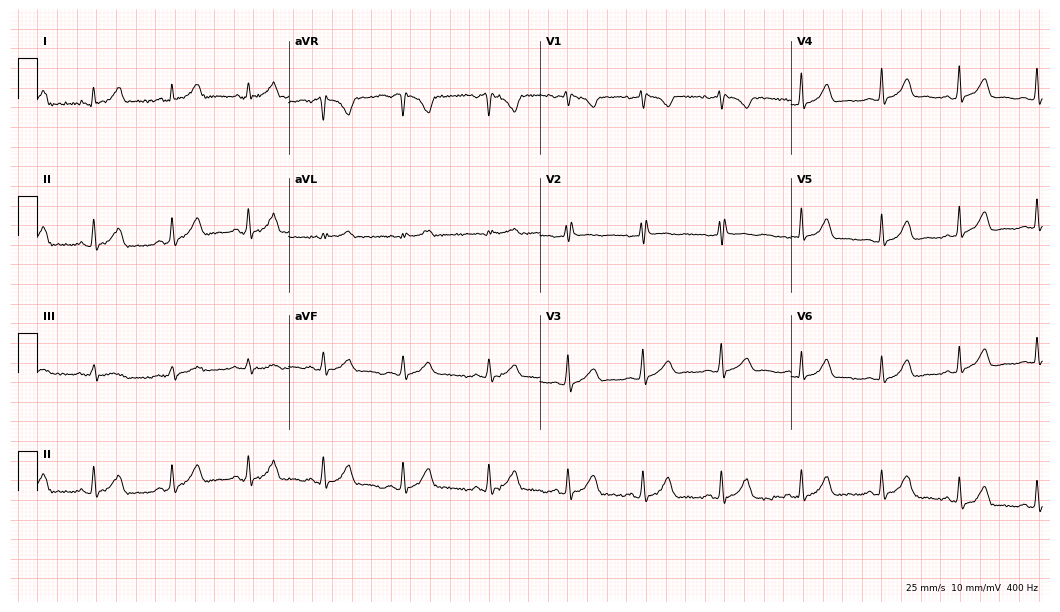
Electrocardiogram (10.2-second recording at 400 Hz), a female patient, 36 years old. Overall reading on record: normal ECG.